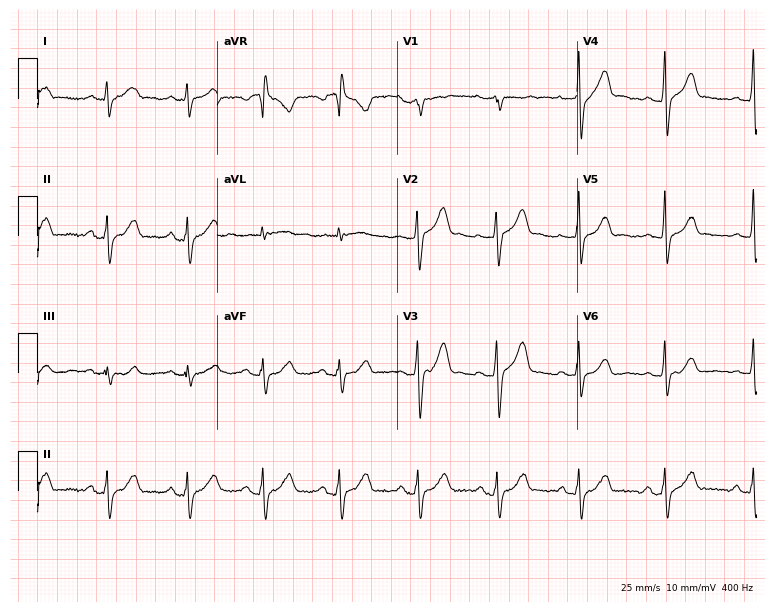
Standard 12-lead ECG recorded from a 35-year-old male patient (7.3-second recording at 400 Hz). None of these six findings is recorded: first-degree AV block, right bundle branch block, left bundle branch block, sinus bradycardia, atrial fibrillation, sinus tachycardia. Other findings, if any, are not listed.